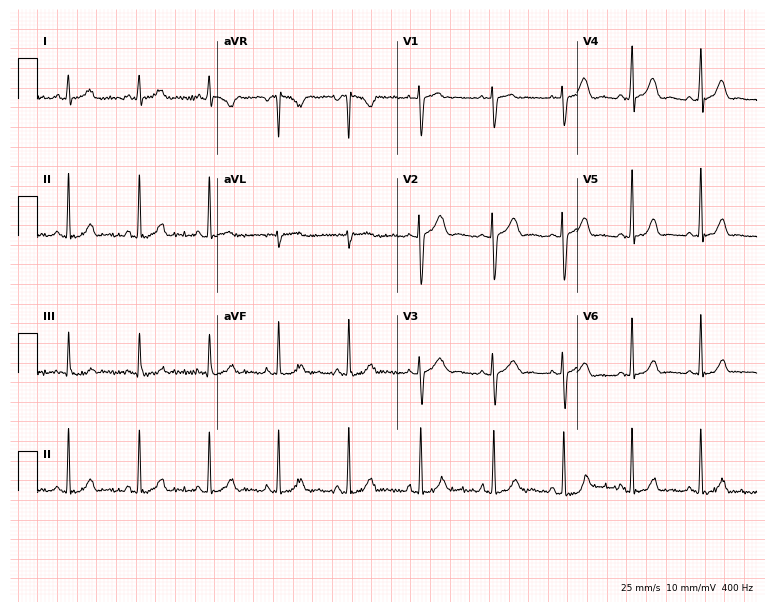
12-lead ECG from a female, 23 years old. Recorded interpretation: within normal limits.